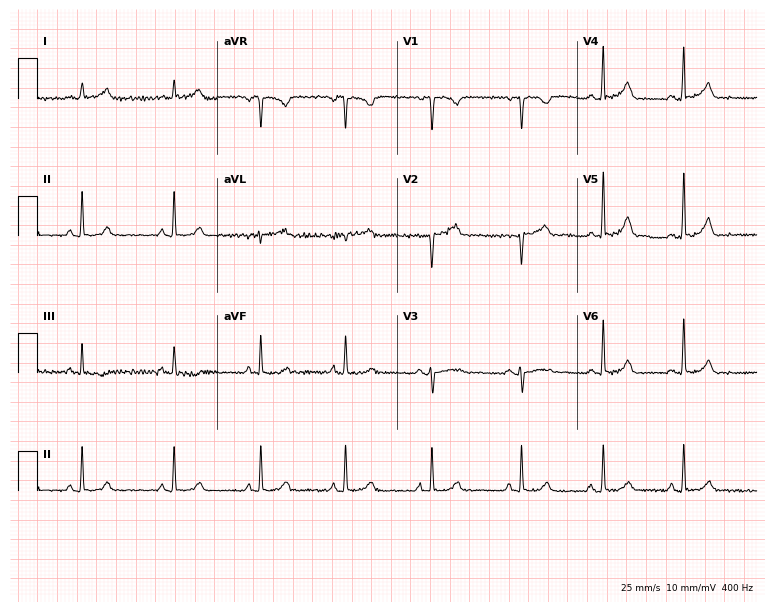
12-lead ECG (7.3-second recording at 400 Hz) from a female patient, 30 years old. Screened for six findings — first-degree AV block, right bundle branch block (RBBB), left bundle branch block (LBBB), sinus bradycardia, atrial fibrillation (AF), sinus tachycardia — none is recorded. Only these six findings were labelled.